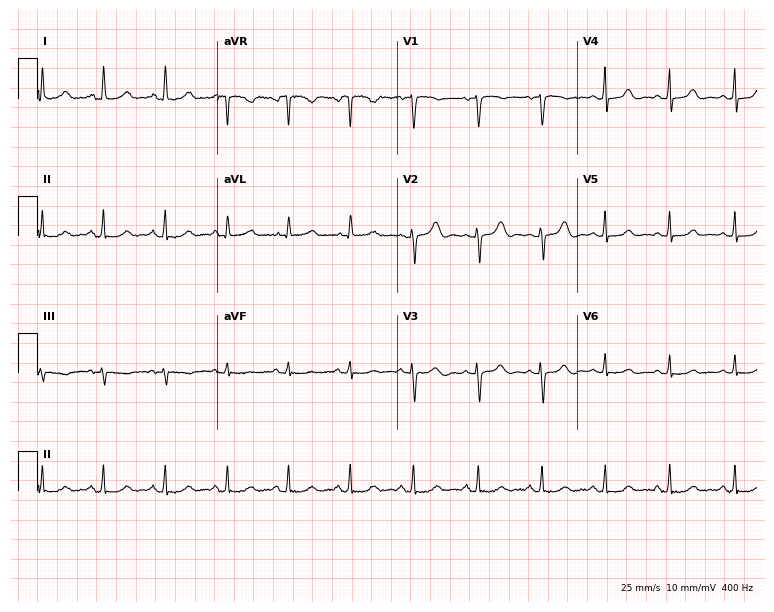
ECG — a 32-year-old female. Labelled as a normal ECG.